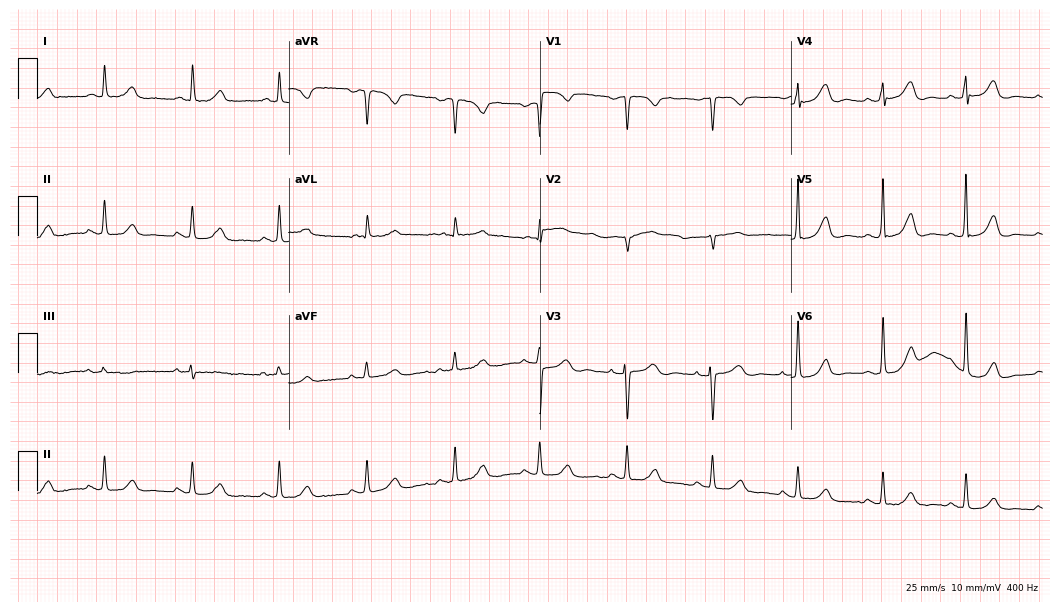
12-lead ECG from an 80-year-old female. Labelled as a normal ECG.